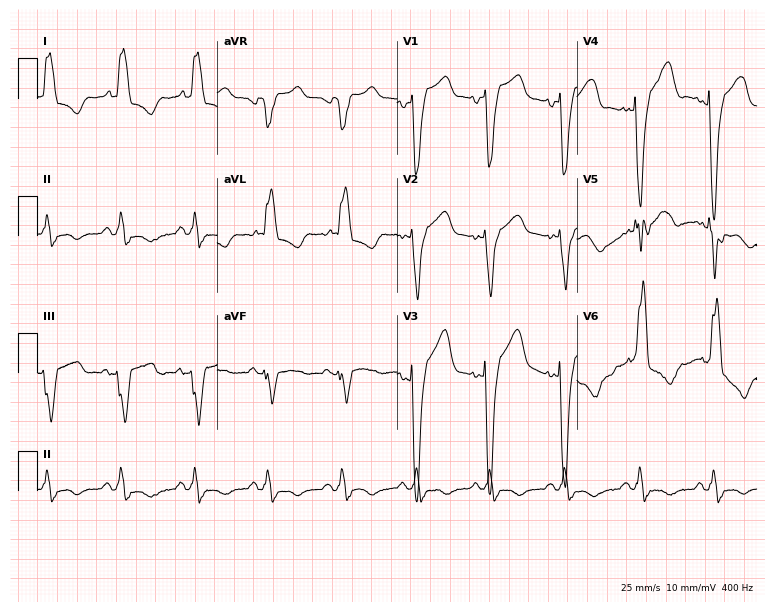
Resting 12-lead electrocardiogram (7.3-second recording at 400 Hz). Patient: a man, 70 years old. The tracing shows left bundle branch block.